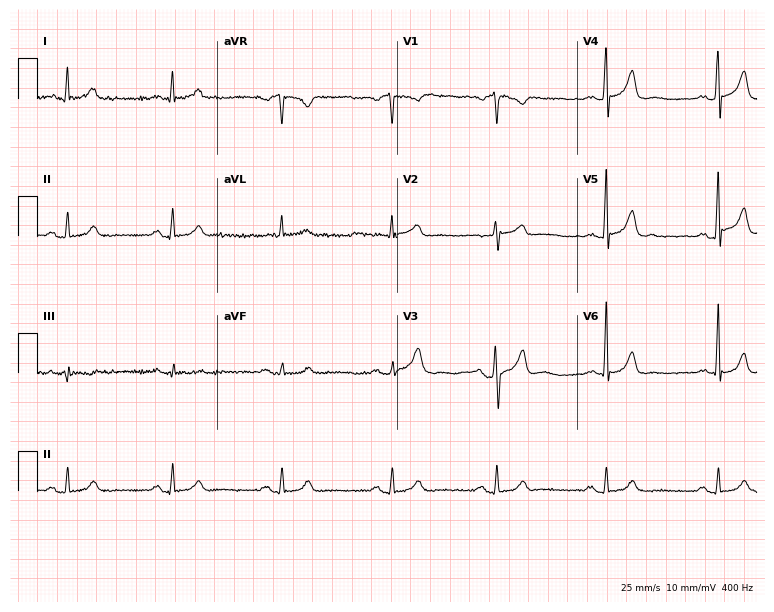
12-lead ECG from a male patient, 68 years old. Screened for six findings — first-degree AV block, right bundle branch block, left bundle branch block, sinus bradycardia, atrial fibrillation, sinus tachycardia — none is recorded. Findings outside these six are not listed.